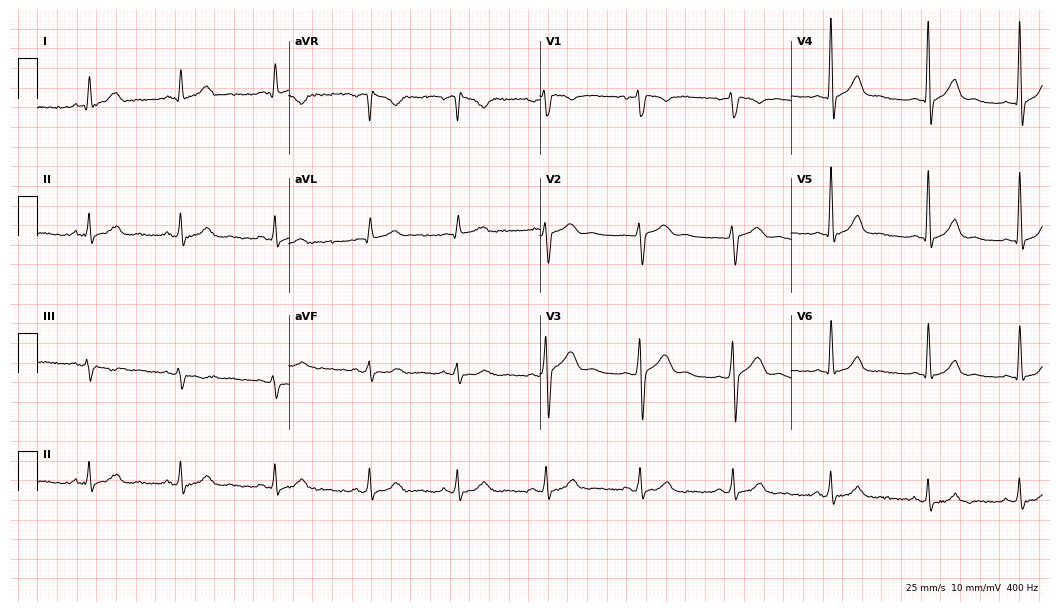
12-lead ECG from a male, 39 years old (10.2-second recording at 400 Hz). Recorded interpretation: within normal limits.